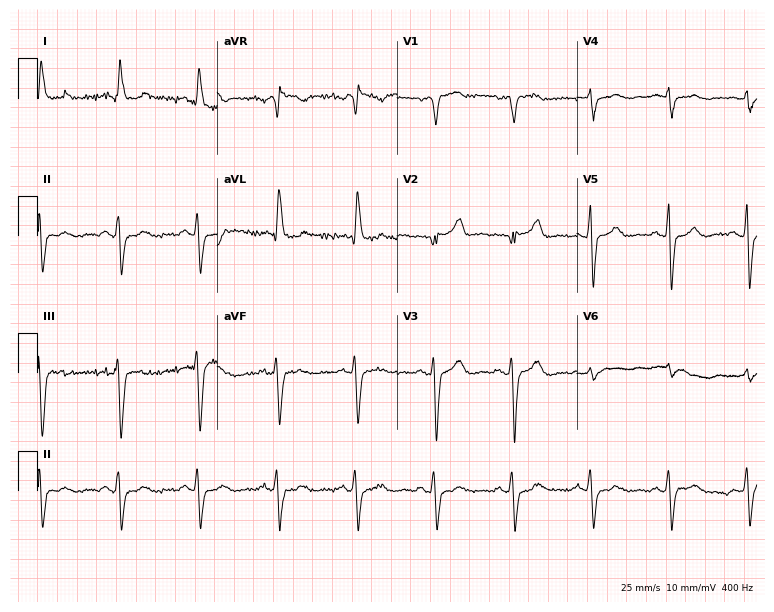
Standard 12-lead ECG recorded from an 81-year-old female (7.3-second recording at 400 Hz). None of these six findings is recorded: first-degree AV block, right bundle branch block, left bundle branch block, sinus bradycardia, atrial fibrillation, sinus tachycardia. Only these six findings were labelled.